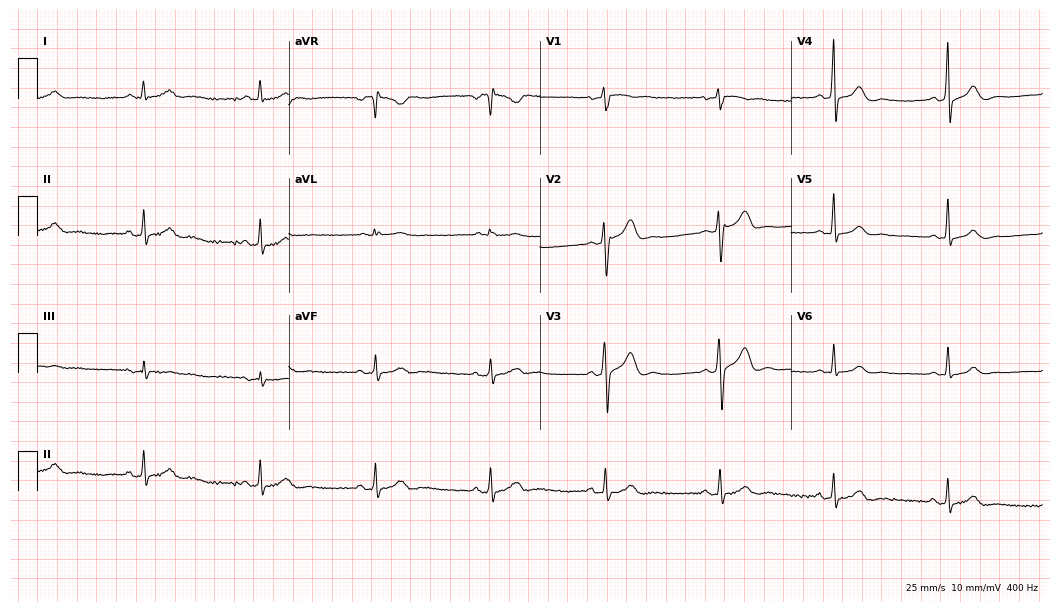
12-lead ECG (10.2-second recording at 400 Hz) from a 46-year-old male patient. Labelled as a normal ECG.